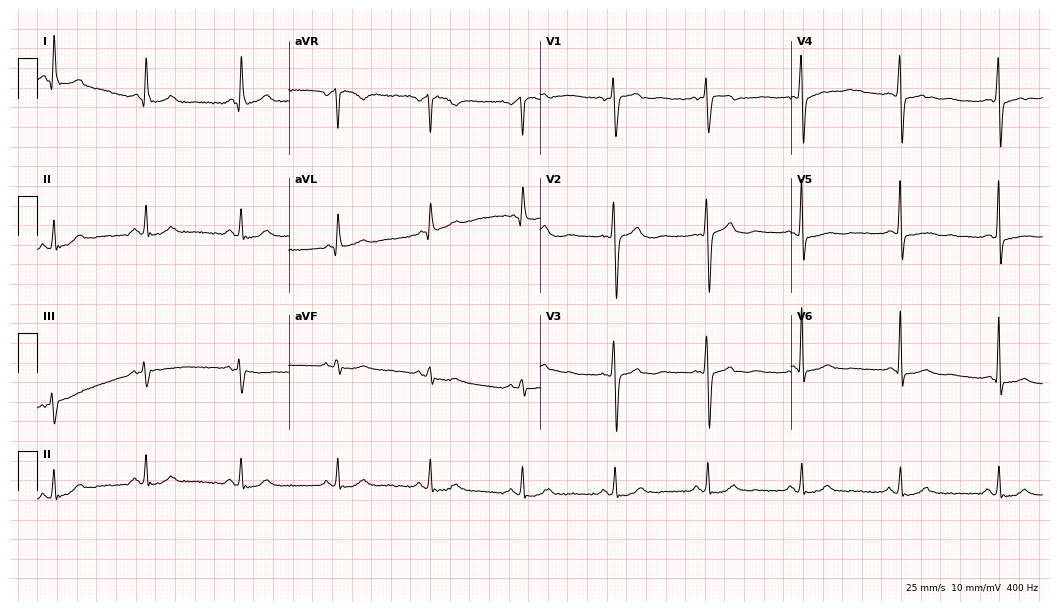
Electrocardiogram, a 49-year-old man. Of the six screened findings (first-degree AV block, right bundle branch block (RBBB), left bundle branch block (LBBB), sinus bradycardia, atrial fibrillation (AF), sinus tachycardia), none is recorded. Only these six findings were labelled.